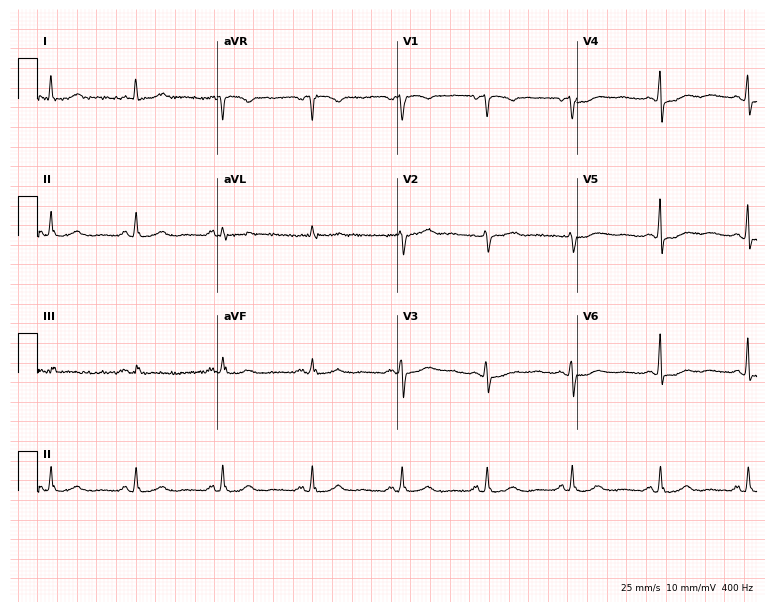
Standard 12-lead ECG recorded from a 52-year-old woman. None of these six findings is recorded: first-degree AV block, right bundle branch block (RBBB), left bundle branch block (LBBB), sinus bradycardia, atrial fibrillation (AF), sinus tachycardia. Other findings, if any, are not listed.